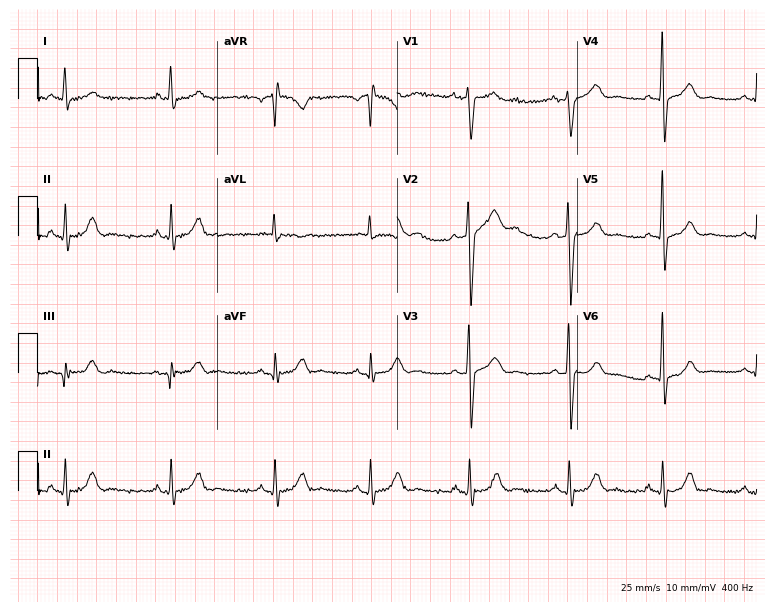
Standard 12-lead ECG recorded from a male, 47 years old. None of these six findings is recorded: first-degree AV block, right bundle branch block, left bundle branch block, sinus bradycardia, atrial fibrillation, sinus tachycardia.